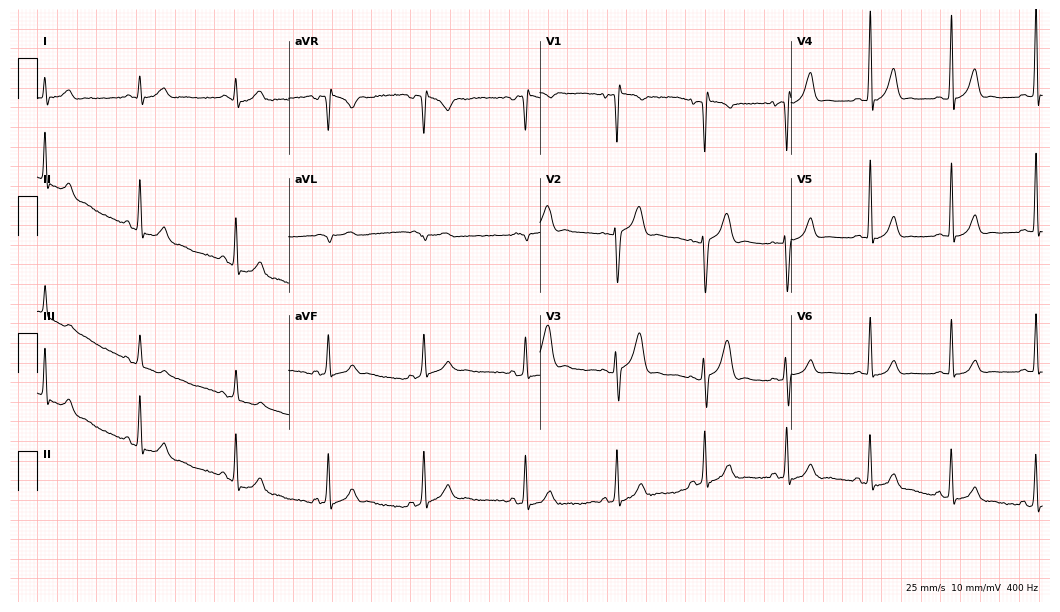
12-lead ECG (10.2-second recording at 400 Hz) from a man, 20 years old. Labelled as a normal ECG.